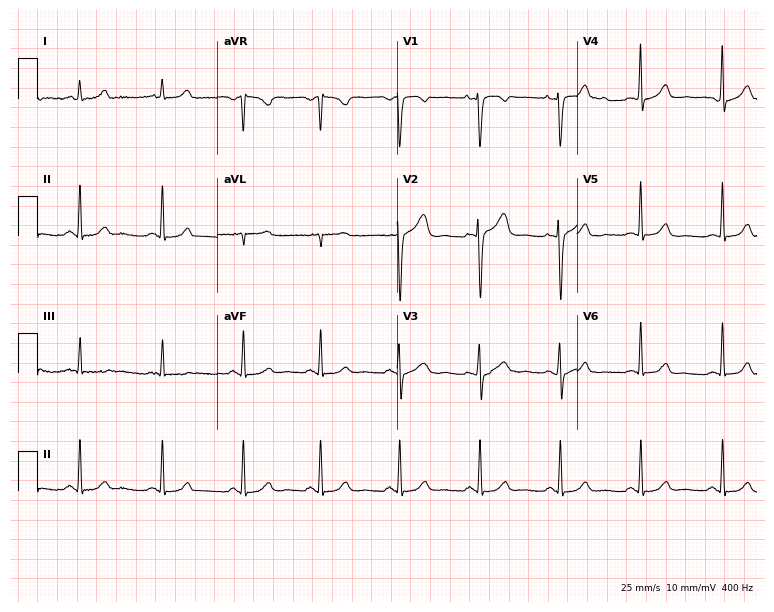
Standard 12-lead ECG recorded from a 41-year-old female patient. None of these six findings is recorded: first-degree AV block, right bundle branch block, left bundle branch block, sinus bradycardia, atrial fibrillation, sinus tachycardia.